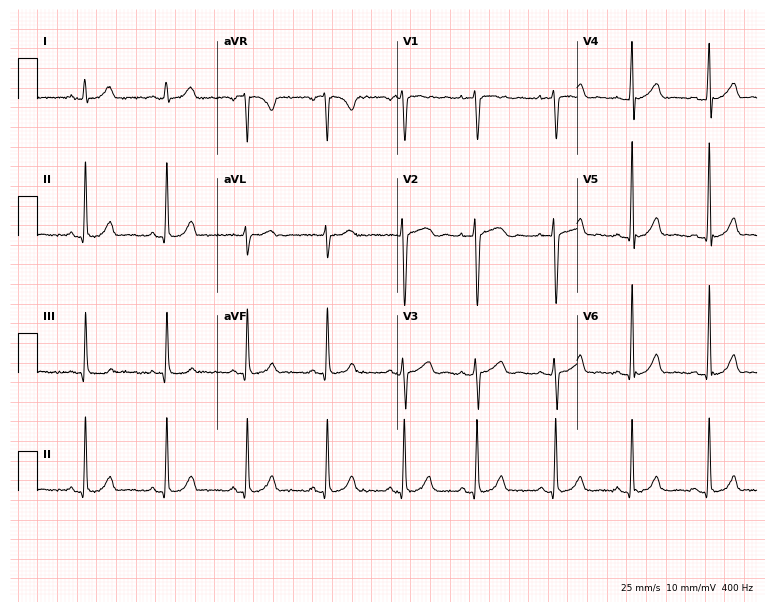
12-lead ECG from a 28-year-old female patient (7.3-second recording at 400 Hz). Recorded interpretation: within normal limits.